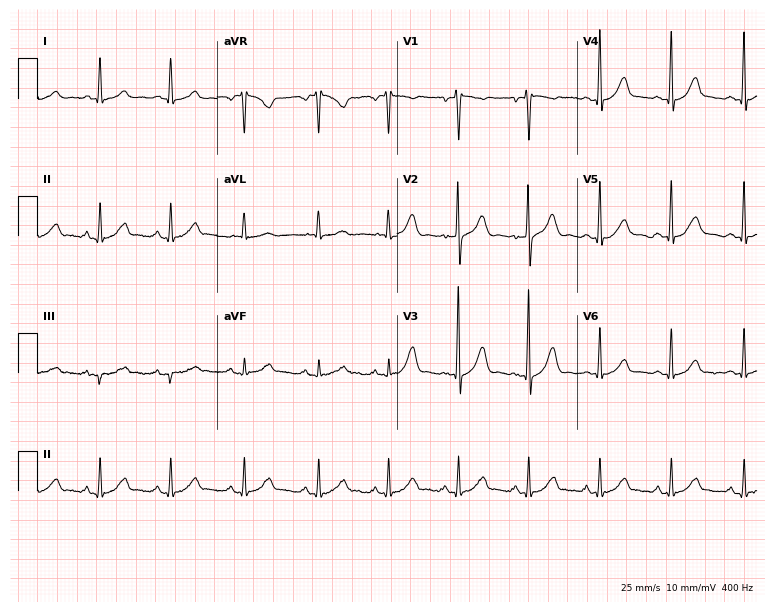
Electrocardiogram, a male patient, 36 years old. Overall reading on record: normal ECG.